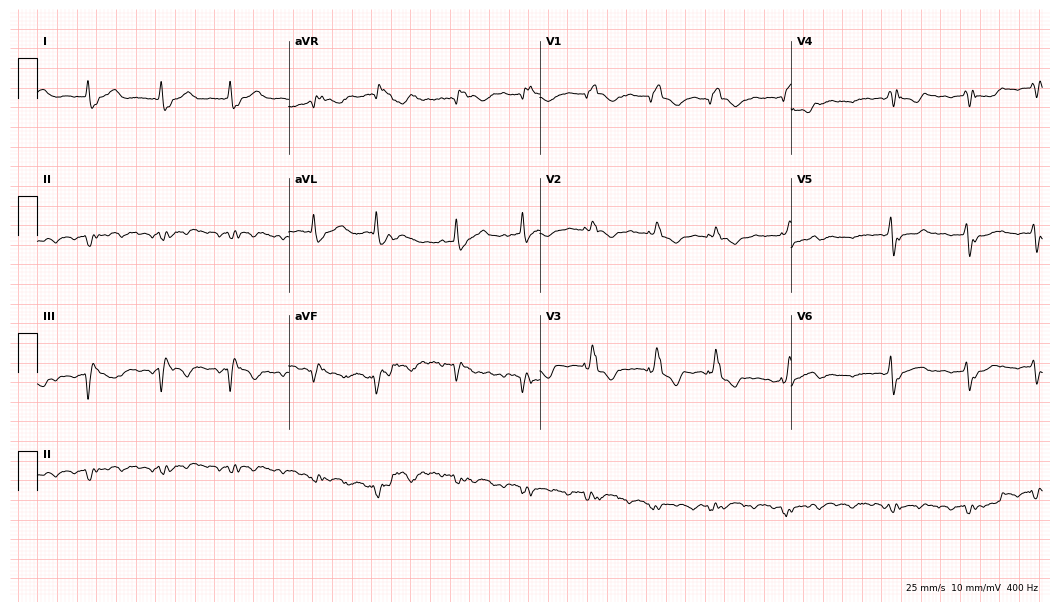
ECG — an 84-year-old female. Screened for six findings — first-degree AV block, right bundle branch block, left bundle branch block, sinus bradycardia, atrial fibrillation, sinus tachycardia — none is recorded.